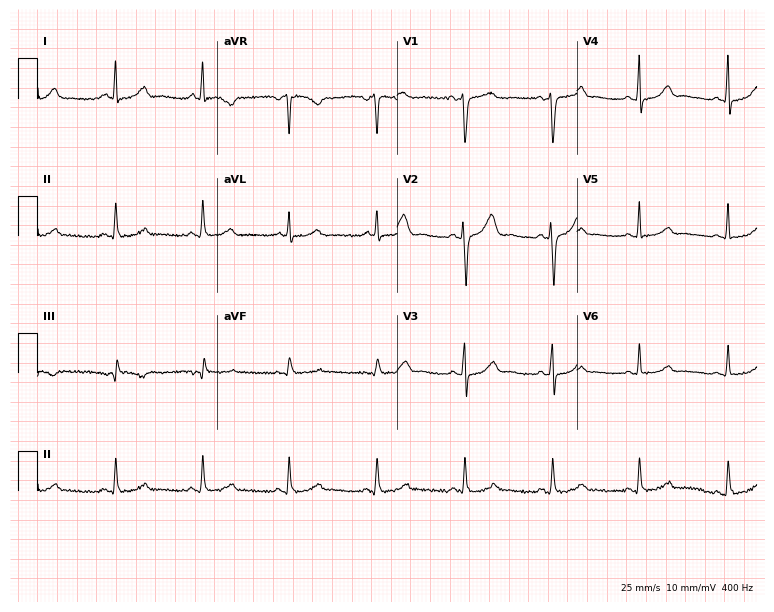
12-lead ECG from a 39-year-old female (7.3-second recording at 400 Hz). Recorded interpretation: within normal limits.